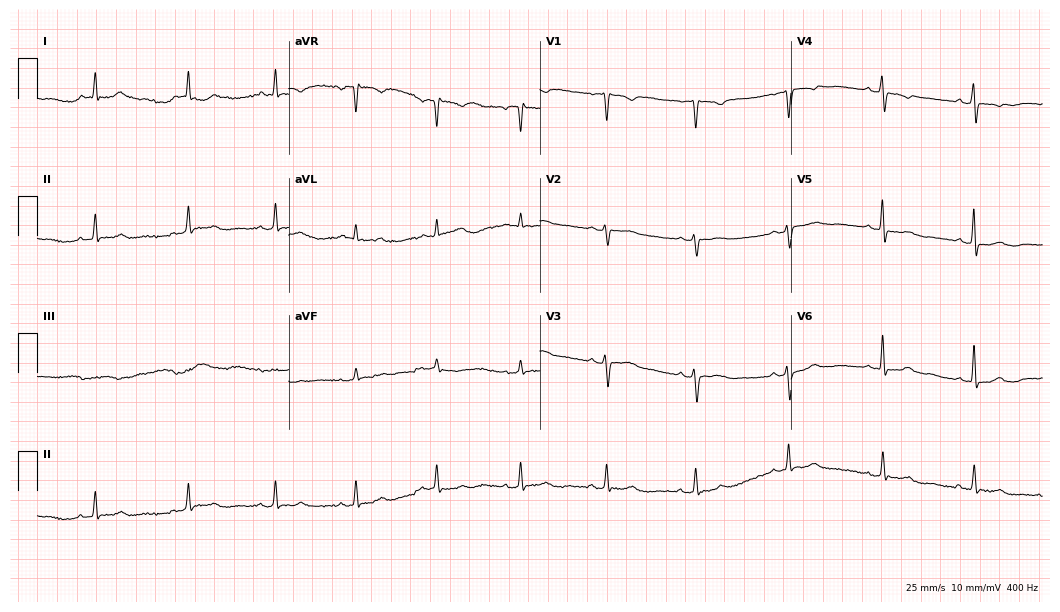
Standard 12-lead ECG recorded from a female patient, 35 years old. None of these six findings is recorded: first-degree AV block, right bundle branch block, left bundle branch block, sinus bradycardia, atrial fibrillation, sinus tachycardia. Only these six findings were labelled.